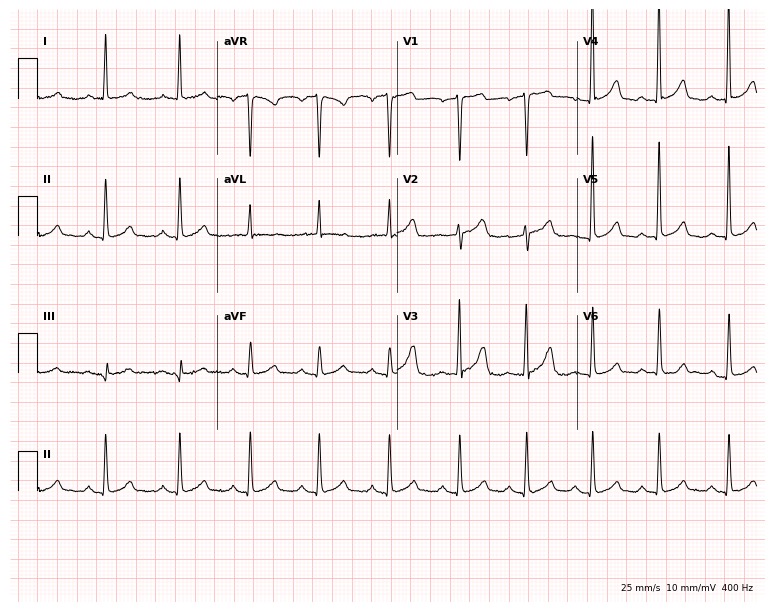
ECG — an 80-year-old female patient. Labelled as a normal ECG.